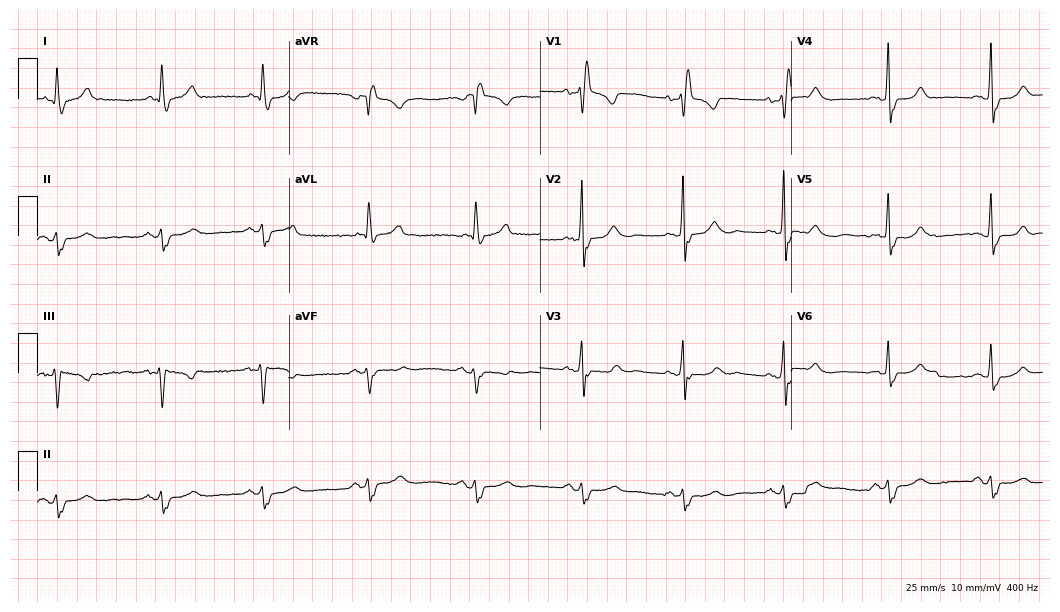
ECG (10.2-second recording at 400 Hz) — a female, 62 years old. Findings include right bundle branch block (RBBB).